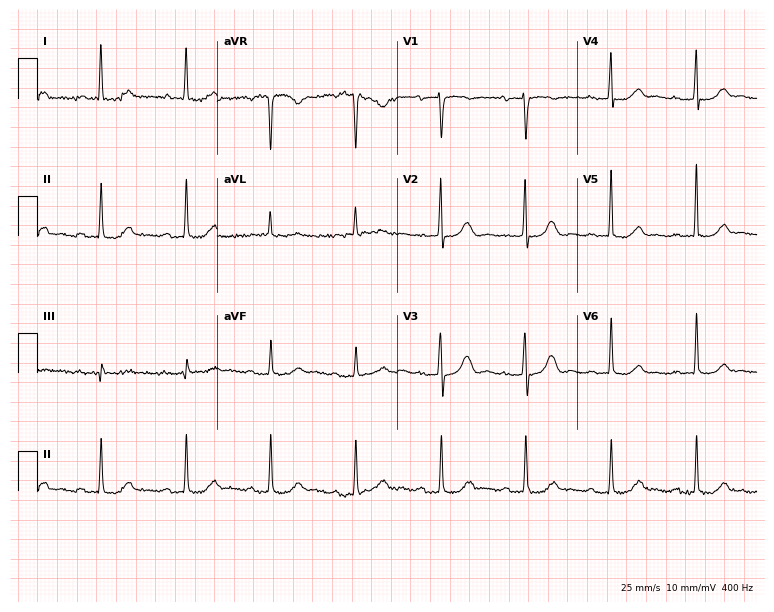
Standard 12-lead ECG recorded from an 83-year-old female patient (7.3-second recording at 400 Hz). The tracing shows first-degree AV block.